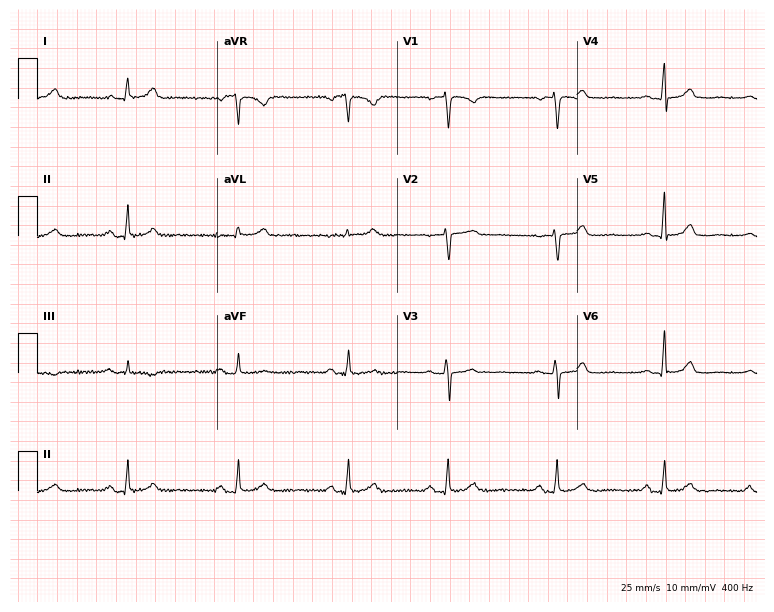
Standard 12-lead ECG recorded from a 49-year-old woman (7.3-second recording at 400 Hz). Read as a normal ECG.